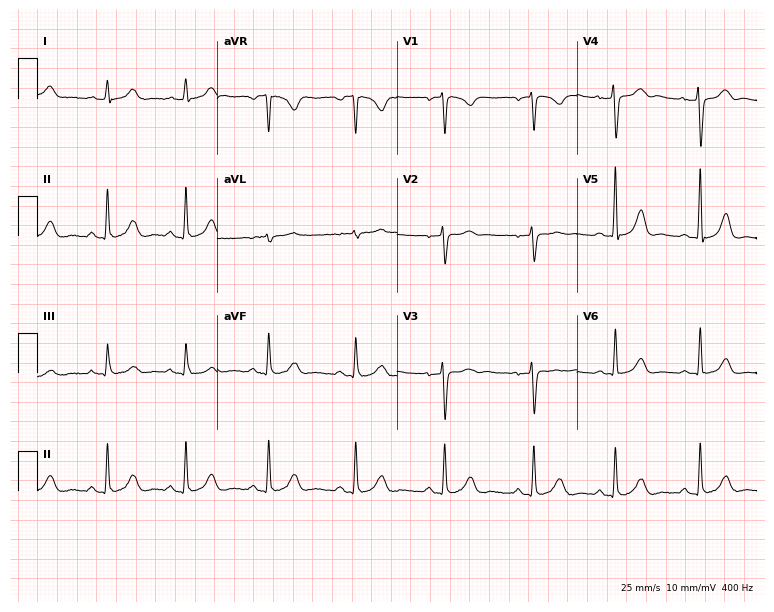
12-lead ECG from a woman, 38 years old. No first-degree AV block, right bundle branch block (RBBB), left bundle branch block (LBBB), sinus bradycardia, atrial fibrillation (AF) or sinus tachycardia recorded for this tracing. Other findings, if any, are not listed.